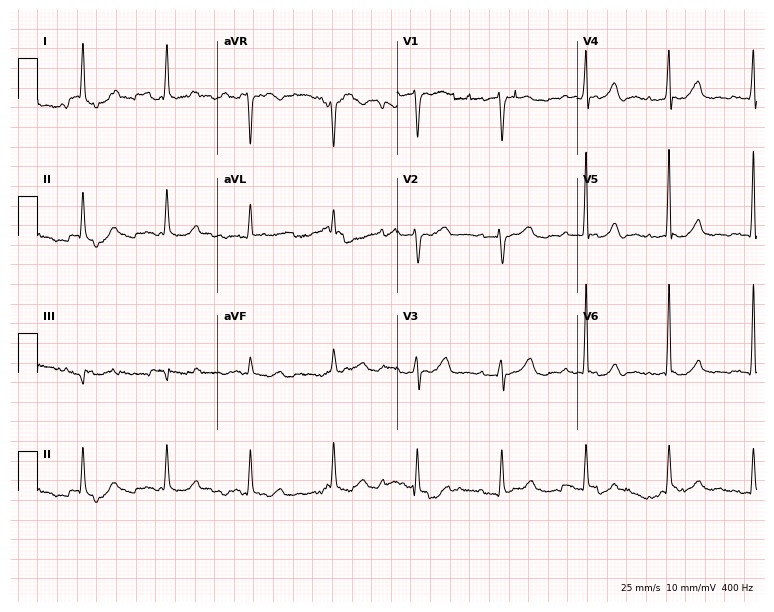
12-lead ECG from a 69-year-old woman. Labelled as a normal ECG.